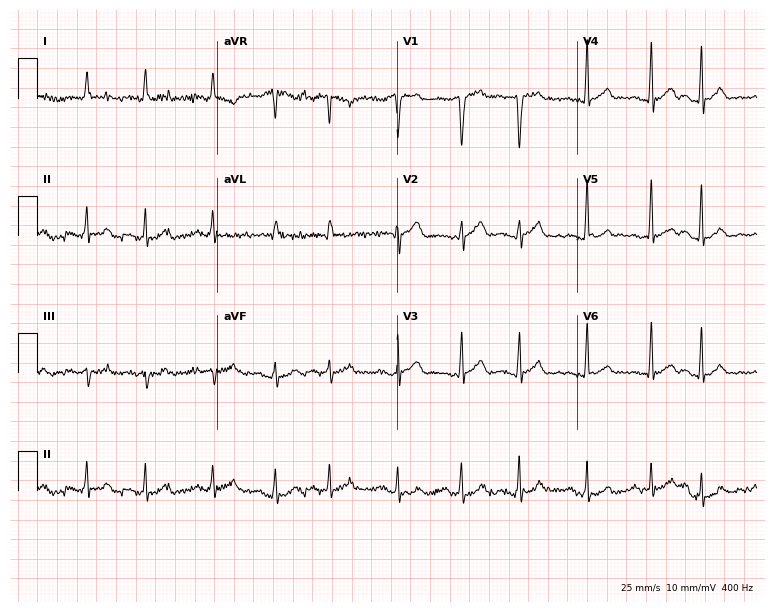
12-lead ECG from a male, 83 years old. Screened for six findings — first-degree AV block, right bundle branch block (RBBB), left bundle branch block (LBBB), sinus bradycardia, atrial fibrillation (AF), sinus tachycardia — none is recorded.